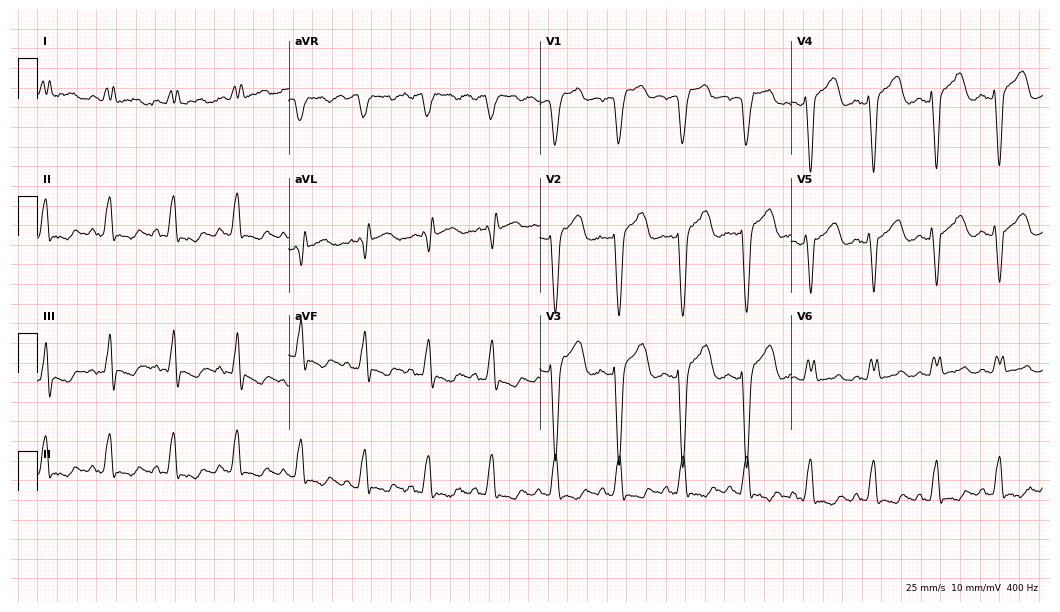
12-lead ECG from a female patient, 76 years old (10.2-second recording at 400 Hz). Shows left bundle branch block.